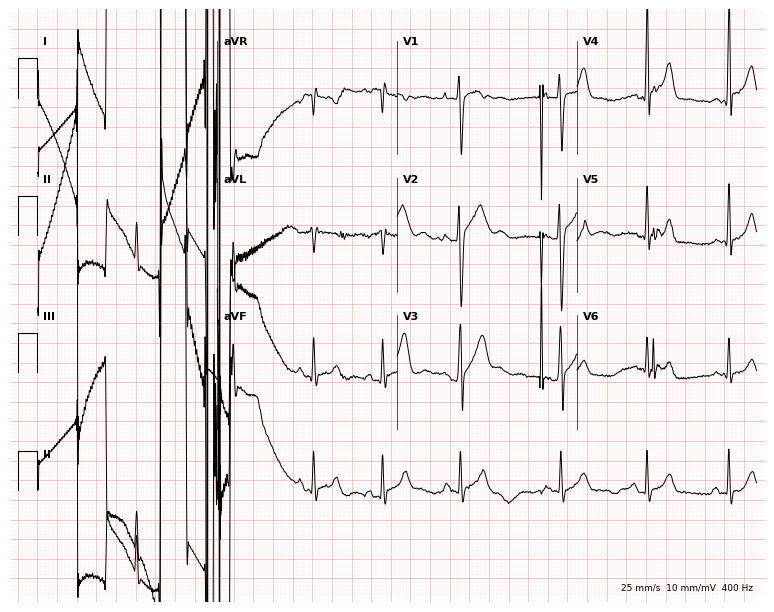
12-lead ECG from a 17-year-old male (7.3-second recording at 400 Hz). No first-degree AV block, right bundle branch block (RBBB), left bundle branch block (LBBB), sinus bradycardia, atrial fibrillation (AF) or sinus tachycardia recorded for this tracing.